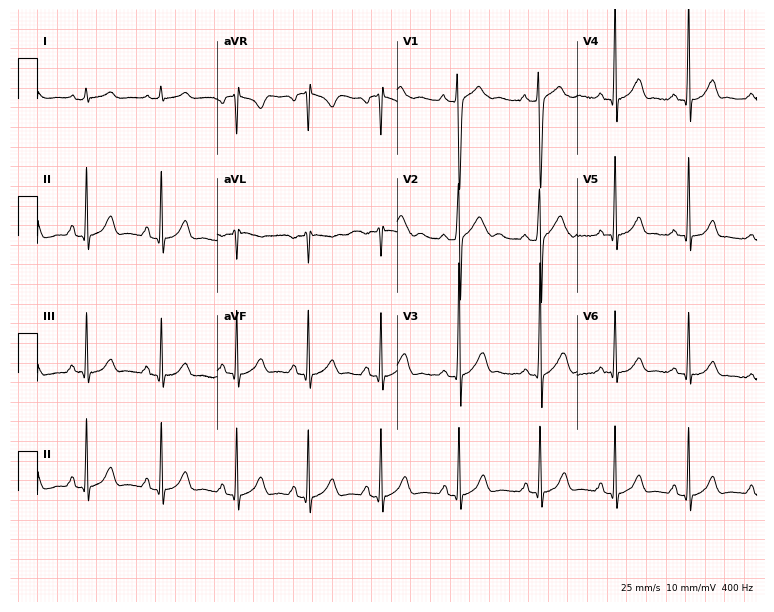
12-lead ECG from a 19-year-old male. Recorded interpretation: within normal limits.